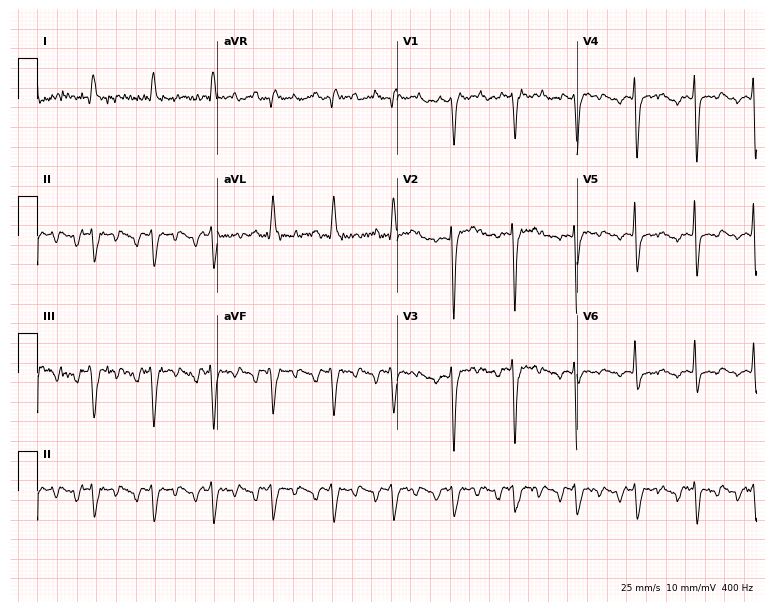
Resting 12-lead electrocardiogram. Patient: an 85-year-old man. None of these six findings is recorded: first-degree AV block, right bundle branch block, left bundle branch block, sinus bradycardia, atrial fibrillation, sinus tachycardia.